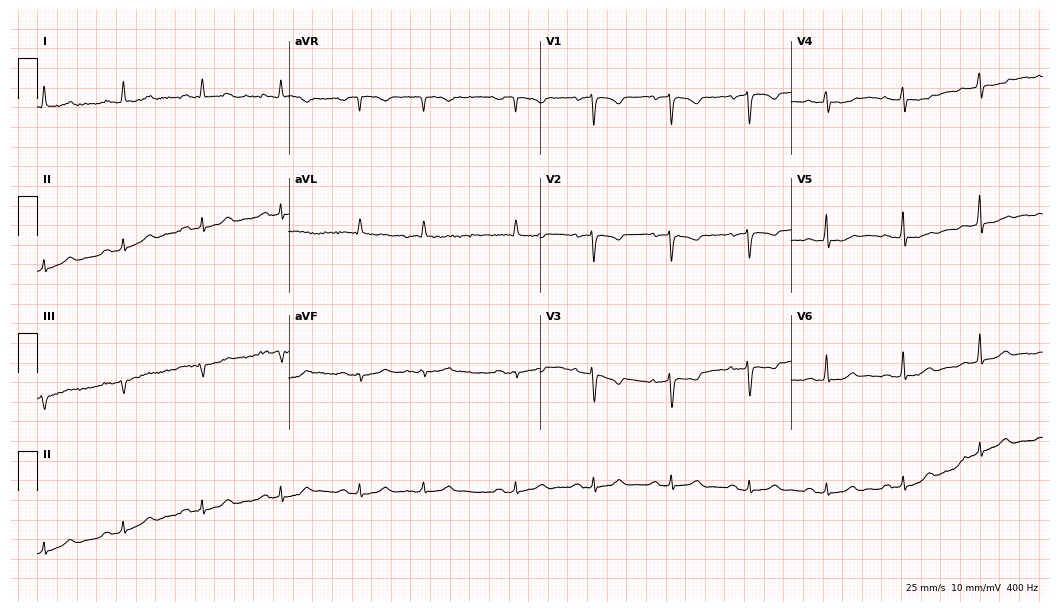
Resting 12-lead electrocardiogram (10.2-second recording at 400 Hz). Patient: a female, 75 years old. None of these six findings is recorded: first-degree AV block, right bundle branch block (RBBB), left bundle branch block (LBBB), sinus bradycardia, atrial fibrillation (AF), sinus tachycardia. Only these six findings were labelled.